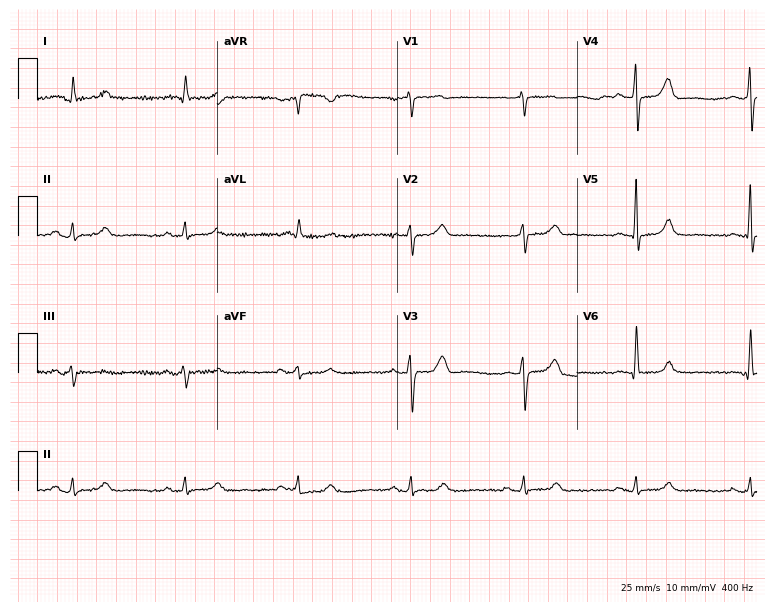
12-lead ECG from an 84-year-old female (7.3-second recording at 400 Hz). Recorded interpretation: within normal limits.